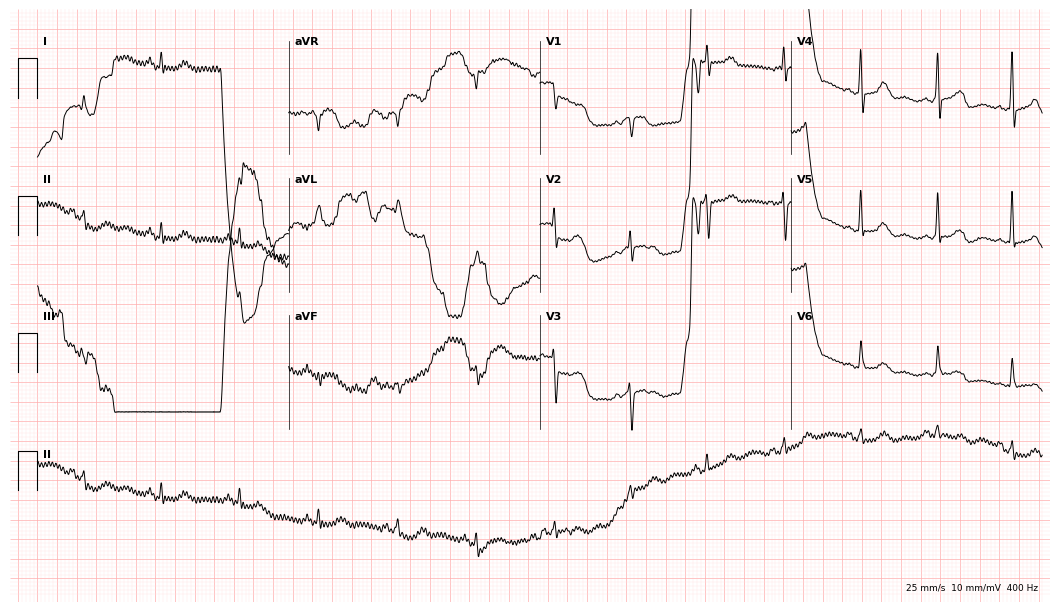
12-lead ECG from an 81-year-old female (10.2-second recording at 400 Hz). No first-degree AV block, right bundle branch block, left bundle branch block, sinus bradycardia, atrial fibrillation or sinus tachycardia recorded for this tracing.